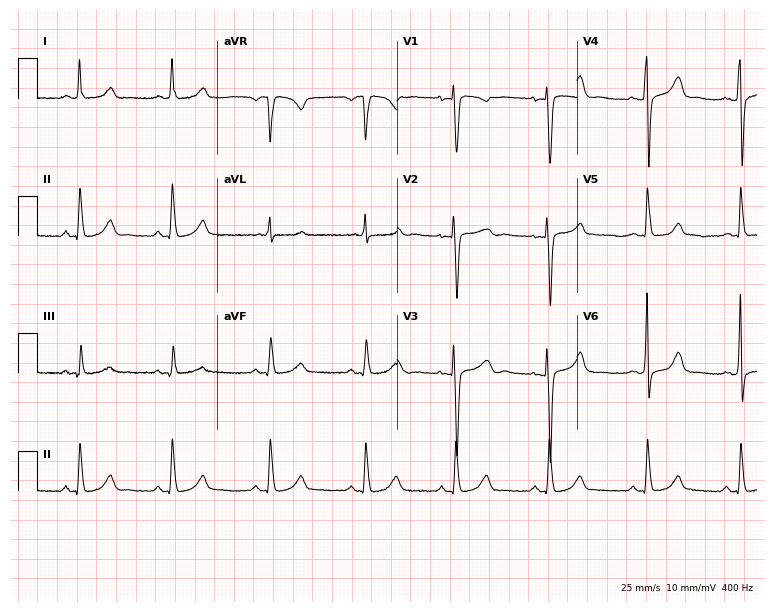
12-lead ECG (7.3-second recording at 400 Hz) from a 50-year-old female. Labelled as a normal ECG.